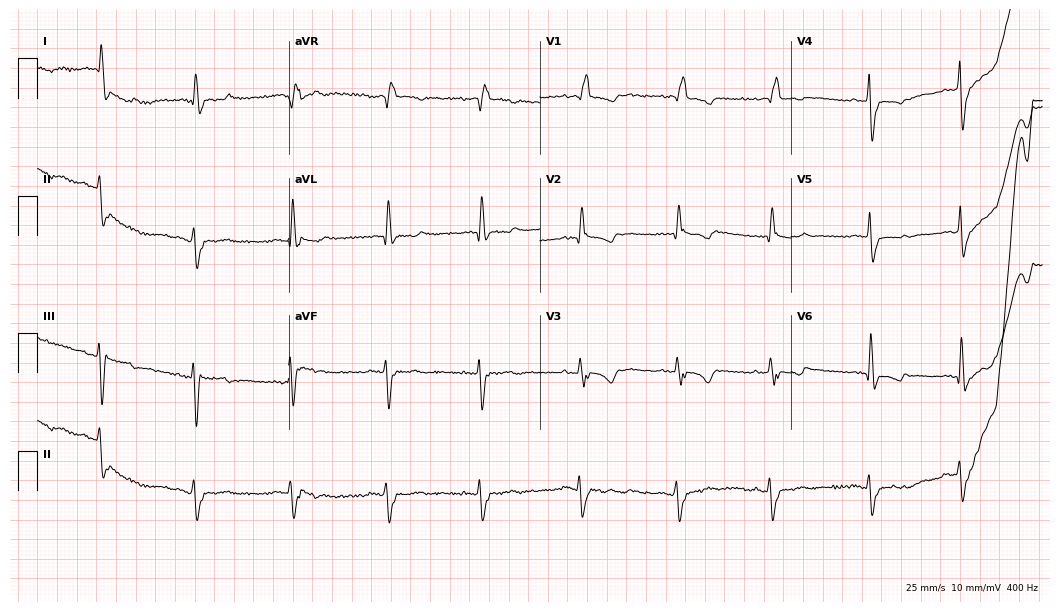
12-lead ECG (10.2-second recording at 400 Hz) from a woman, 84 years old. Findings include right bundle branch block.